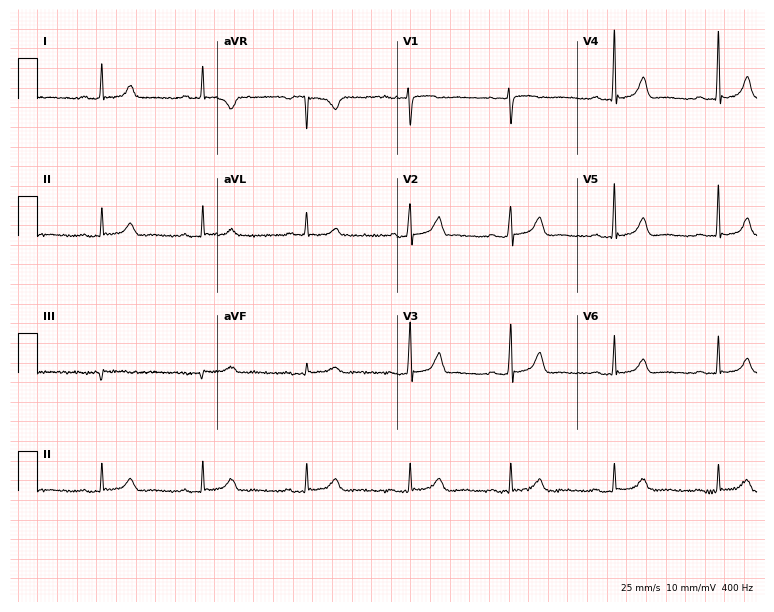
12-lead ECG from a woman, 71 years old (7.3-second recording at 400 Hz). Recorded interpretation: within normal limits.